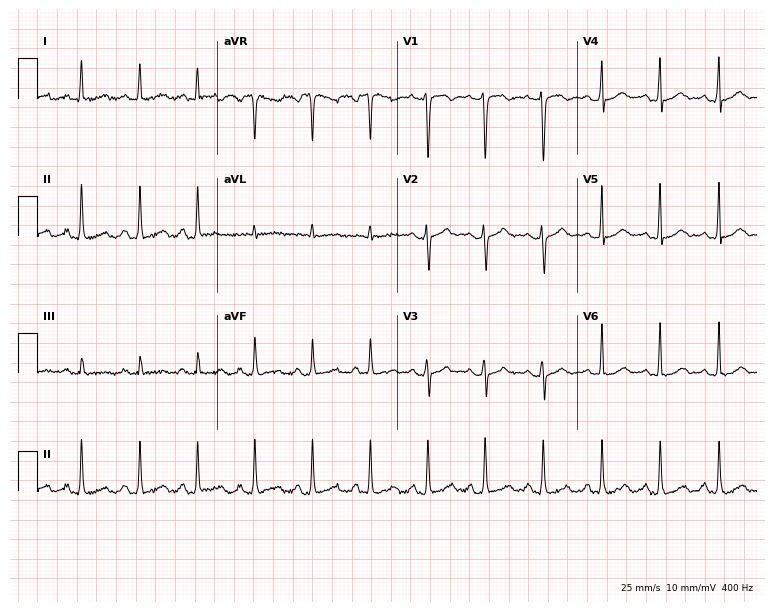
12-lead ECG from a female patient, 37 years old (7.3-second recording at 400 Hz). Shows sinus tachycardia (a sinus rate of 100 beats per minute or more).